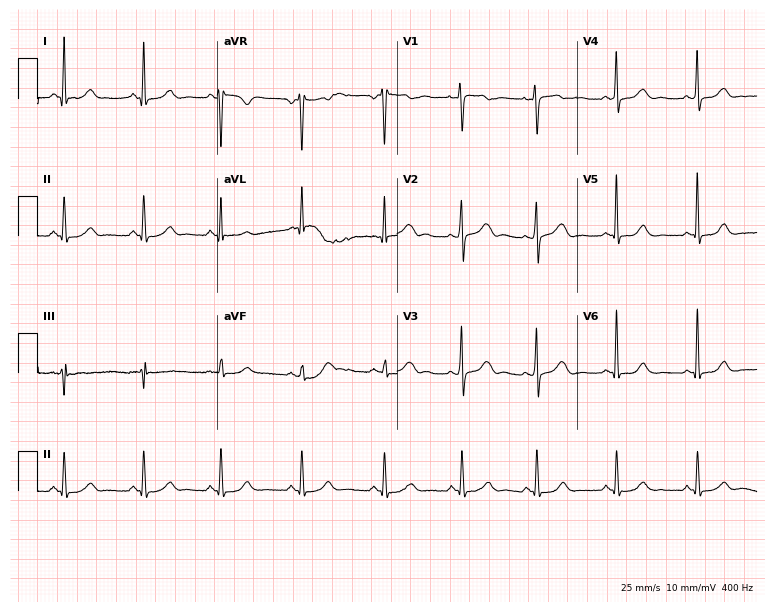
ECG — a 38-year-old woman. Labelled as a normal ECG.